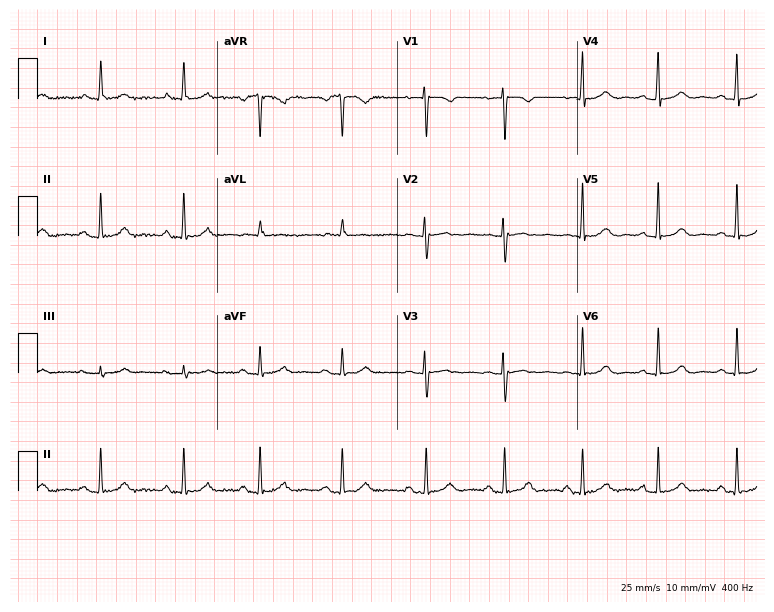
Standard 12-lead ECG recorded from a 40-year-old woman (7.3-second recording at 400 Hz). Read as a normal ECG.